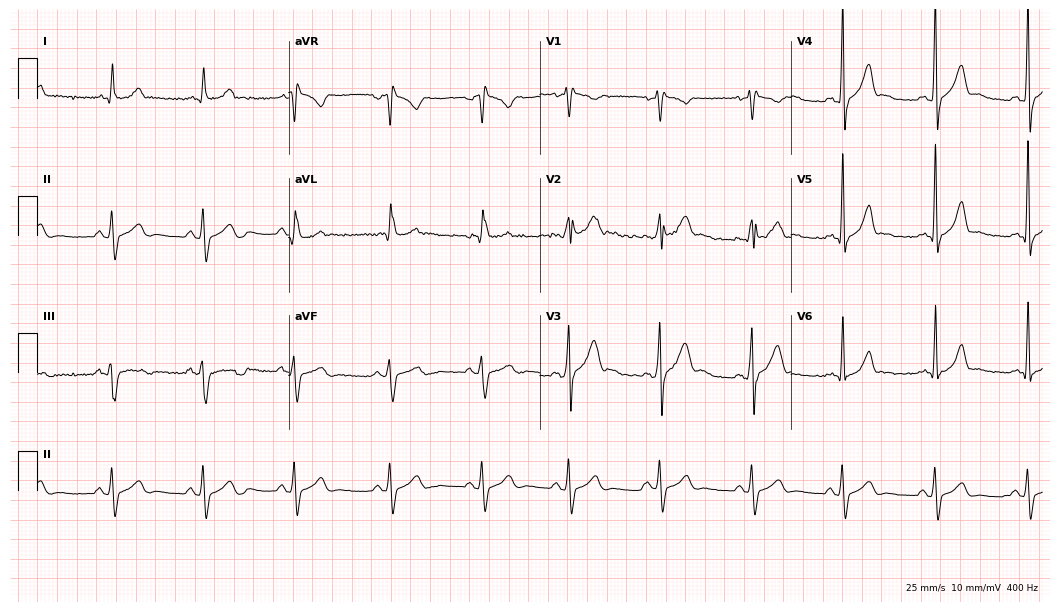
ECG — a male, 17 years old. Findings include right bundle branch block (RBBB).